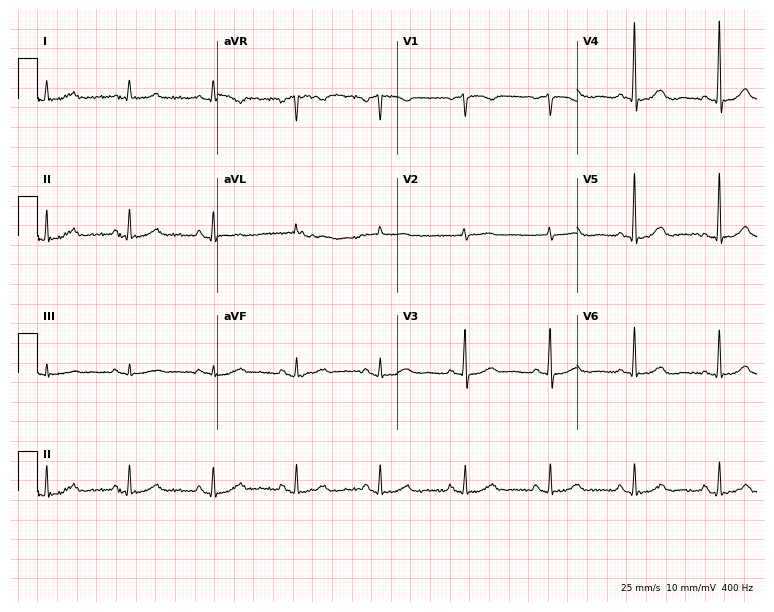
Resting 12-lead electrocardiogram (7.3-second recording at 400 Hz). Patient: a 79-year-old woman. Read as a normal ECG.